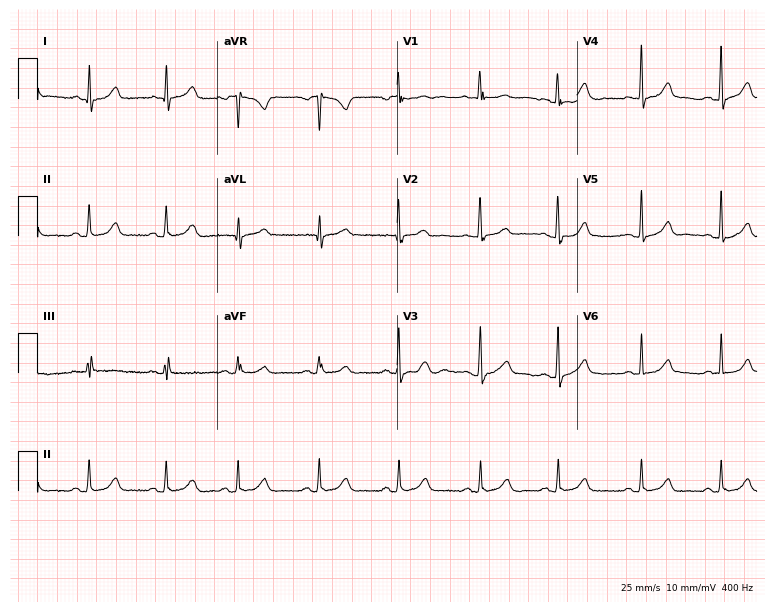
ECG (7.3-second recording at 400 Hz) — a female patient, 28 years old. Labelled as a normal ECG.